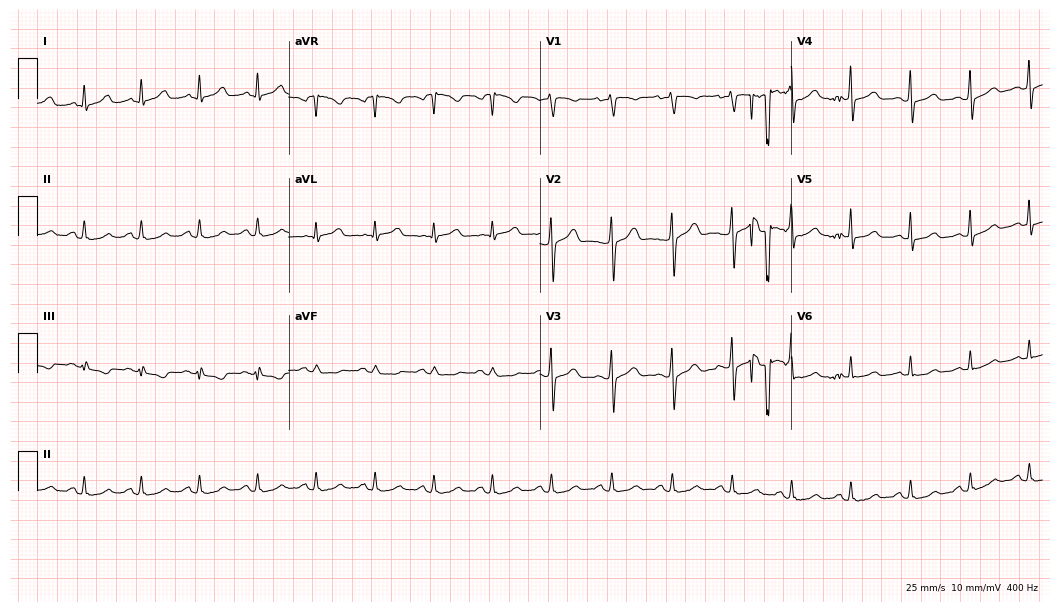
Resting 12-lead electrocardiogram. Patient: a 45-year-old woman. Read as a normal ECG.